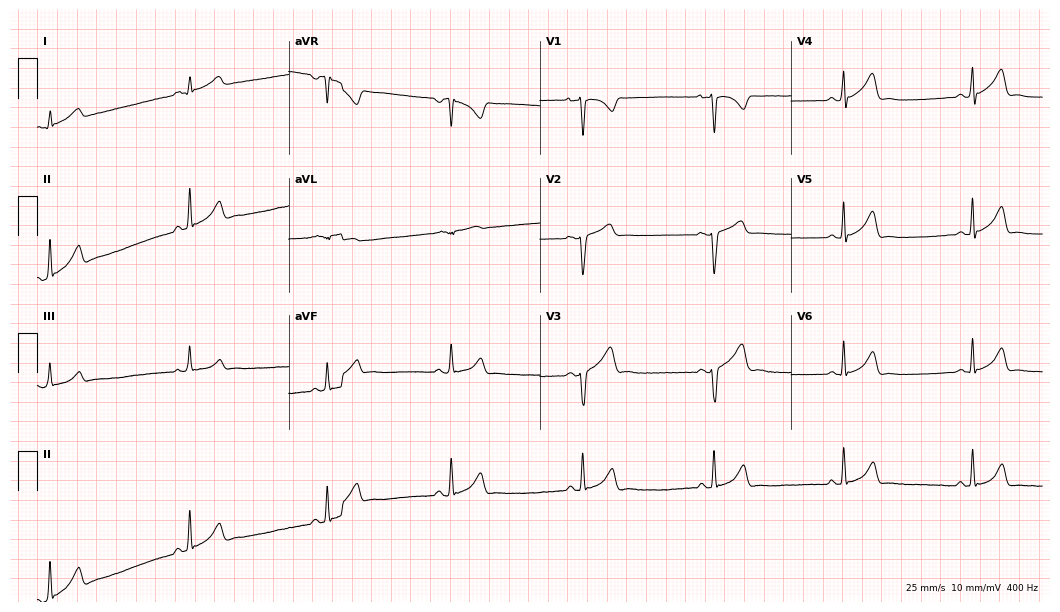
12-lead ECG from a 34-year-old woman (10.2-second recording at 400 Hz). No first-degree AV block, right bundle branch block (RBBB), left bundle branch block (LBBB), sinus bradycardia, atrial fibrillation (AF) or sinus tachycardia recorded for this tracing. Other findings, if any, are not listed.